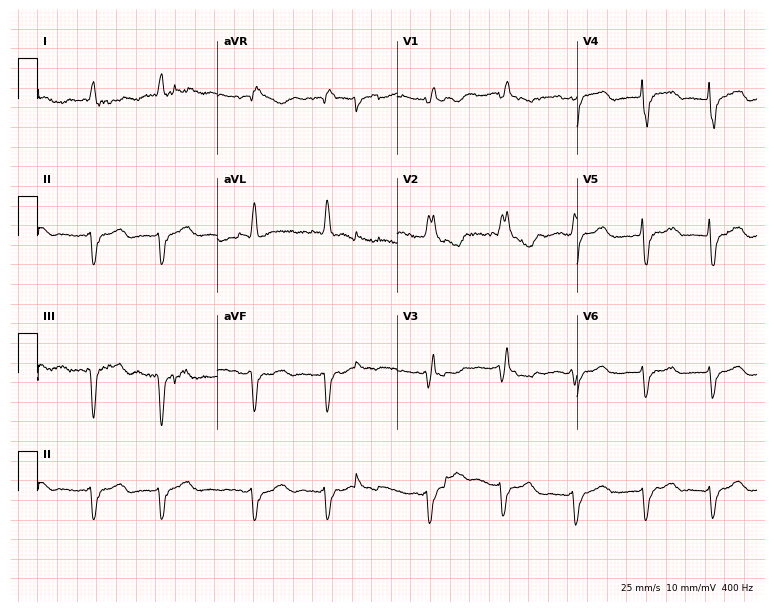
Resting 12-lead electrocardiogram. Patient: a 75-year-old female. The tracing shows right bundle branch block, atrial fibrillation.